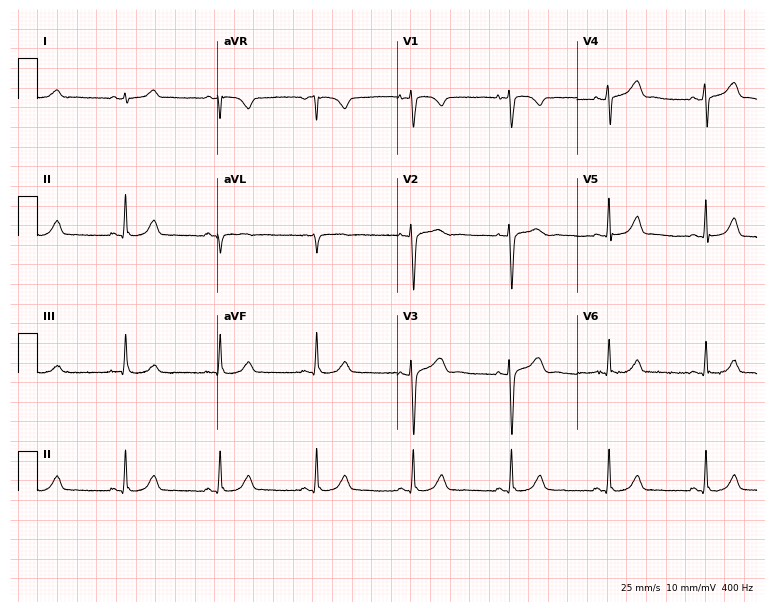
12-lead ECG (7.3-second recording at 400 Hz) from a 26-year-old woman. Screened for six findings — first-degree AV block, right bundle branch block, left bundle branch block, sinus bradycardia, atrial fibrillation, sinus tachycardia — none is recorded.